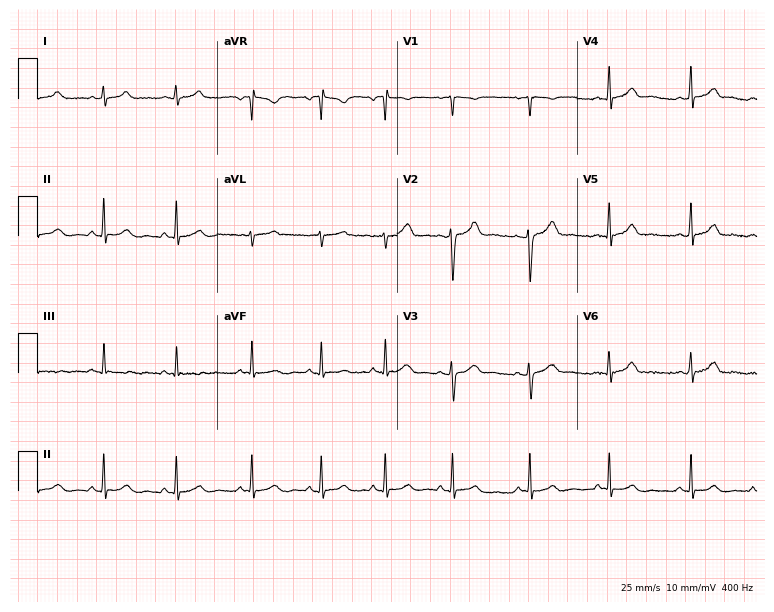
Resting 12-lead electrocardiogram. Patient: a 22-year-old woman. Read as a normal ECG.